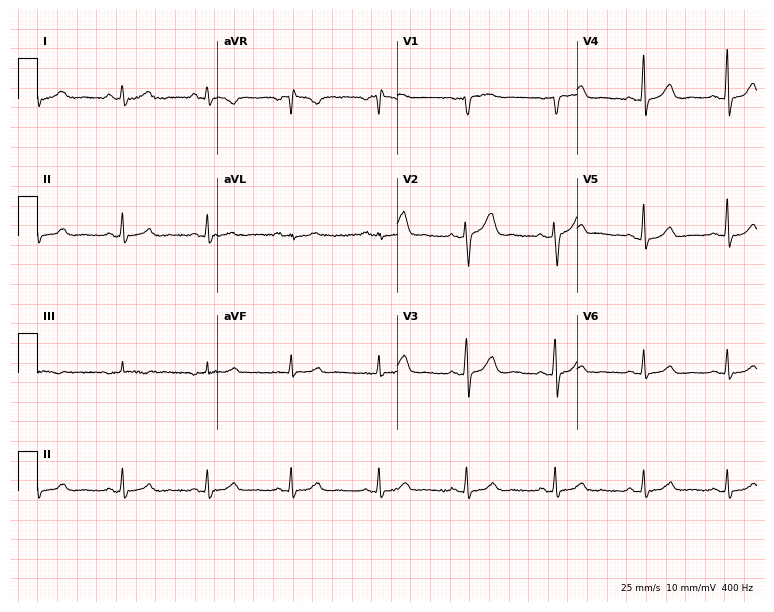
ECG — a female, 52 years old. Screened for six findings — first-degree AV block, right bundle branch block, left bundle branch block, sinus bradycardia, atrial fibrillation, sinus tachycardia — none is recorded.